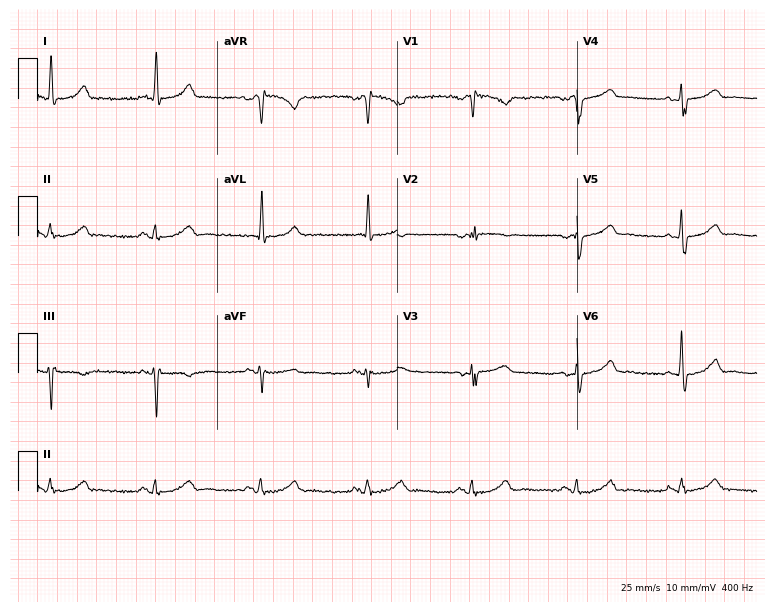
12-lead ECG from a man, 72 years old. No first-degree AV block, right bundle branch block (RBBB), left bundle branch block (LBBB), sinus bradycardia, atrial fibrillation (AF) or sinus tachycardia recorded for this tracing.